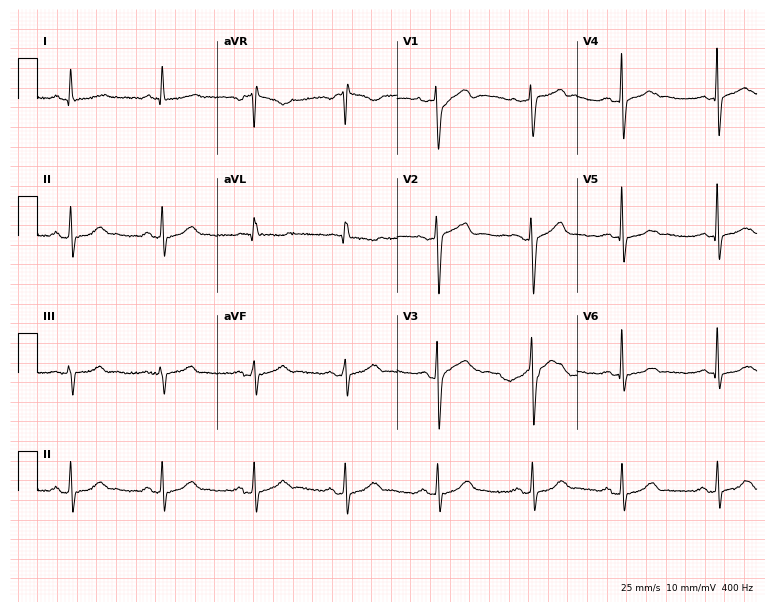
ECG (7.3-second recording at 400 Hz) — a female, 79 years old. Screened for six findings — first-degree AV block, right bundle branch block, left bundle branch block, sinus bradycardia, atrial fibrillation, sinus tachycardia — none is recorded. Other findings, if any, are not listed.